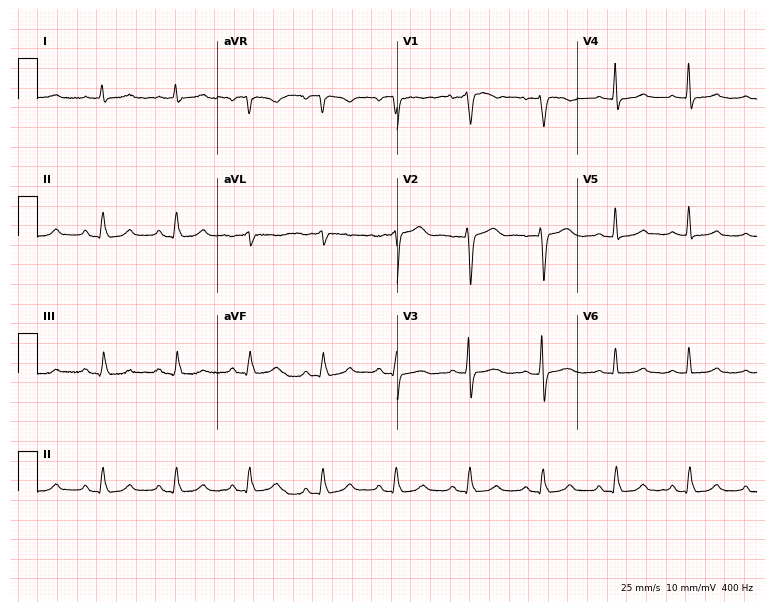
12-lead ECG from a female, 30 years old. Screened for six findings — first-degree AV block, right bundle branch block, left bundle branch block, sinus bradycardia, atrial fibrillation, sinus tachycardia — none is recorded. Other findings, if any, are not listed.